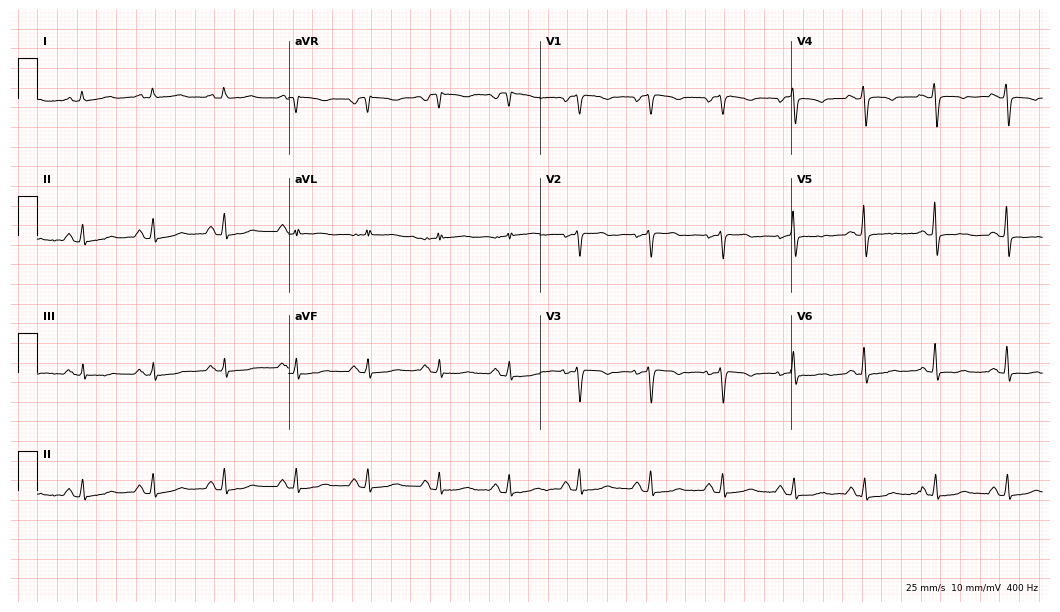
Resting 12-lead electrocardiogram (10.2-second recording at 400 Hz). Patient: a 50-year-old woman. None of these six findings is recorded: first-degree AV block, right bundle branch block, left bundle branch block, sinus bradycardia, atrial fibrillation, sinus tachycardia. Other findings, if any, are not listed.